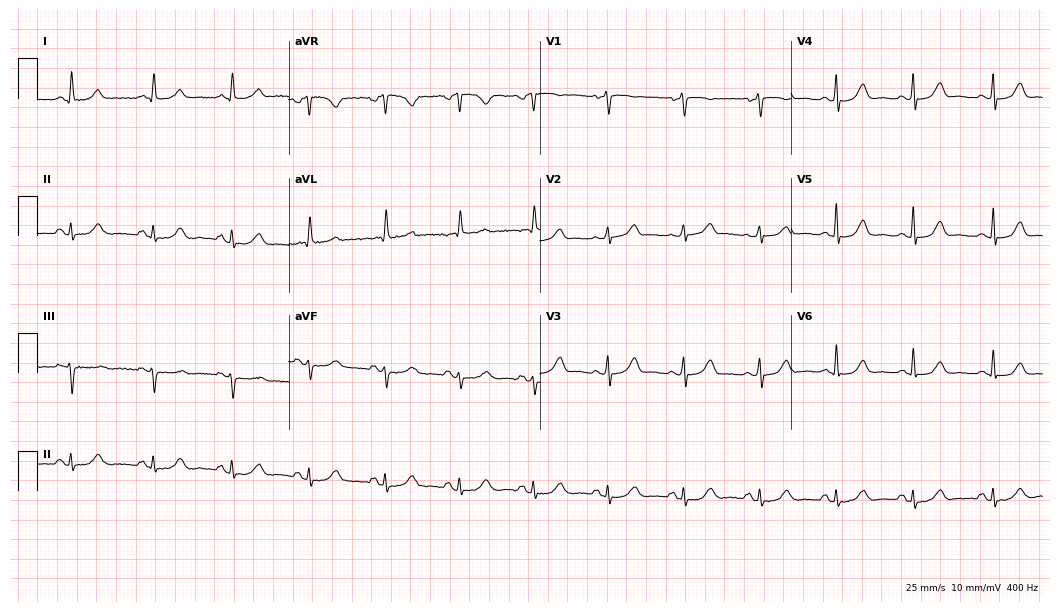
12-lead ECG (10.2-second recording at 400 Hz) from a woman, 62 years old. Screened for six findings — first-degree AV block, right bundle branch block, left bundle branch block, sinus bradycardia, atrial fibrillation, sinus tachycardia — none is recorded.